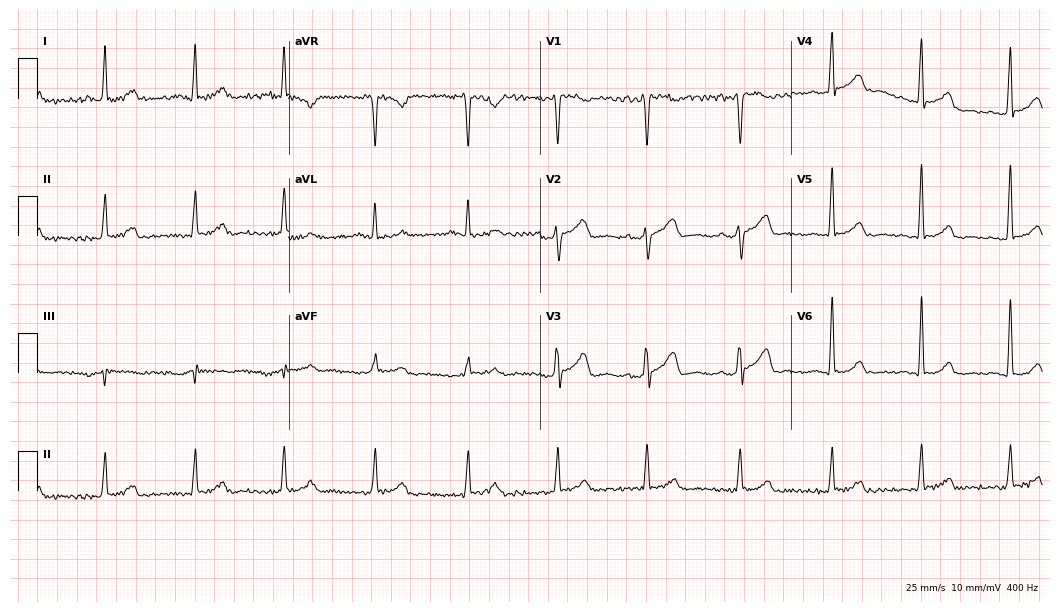
12-lead ECG from a man, 59 years old (10.2-second recording at 400 Hz). No first-degree AV block, right bundle branch block, left bundle branch block, sinus bradycardia, atrial fibrillation or sinus tachycardia recorded for this tracing.